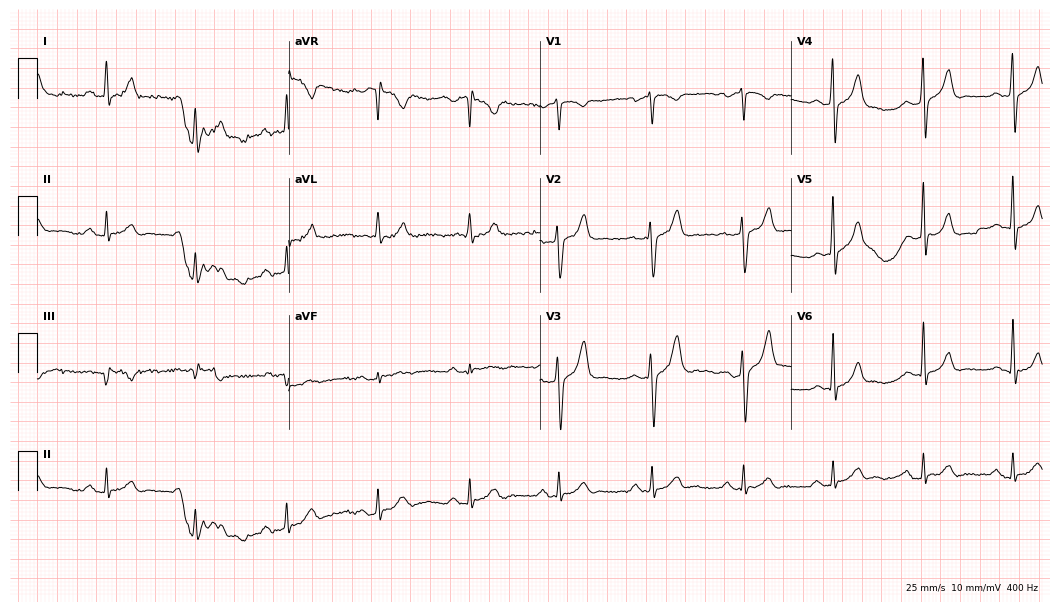
Standard 12-lead ECG recorded from a male, 39 years old (10.2-second recording at 400 Hz). Read as a normal ECG.